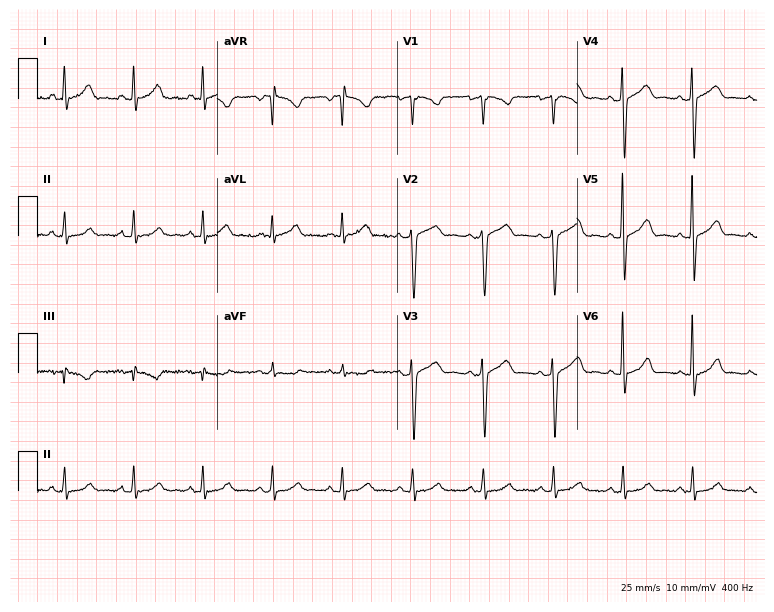
12-lead ECG from a male, 57 years old. Recorded interpretation: within normal limits.